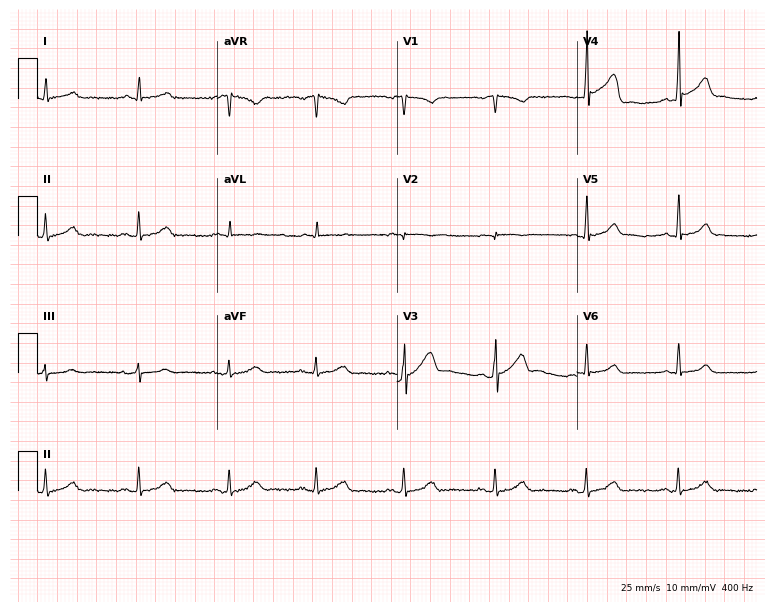
Electrocardiogram (7.3-second recording at 400 Hz), a 22-year-old man. Overall reading on record: normal ECG.